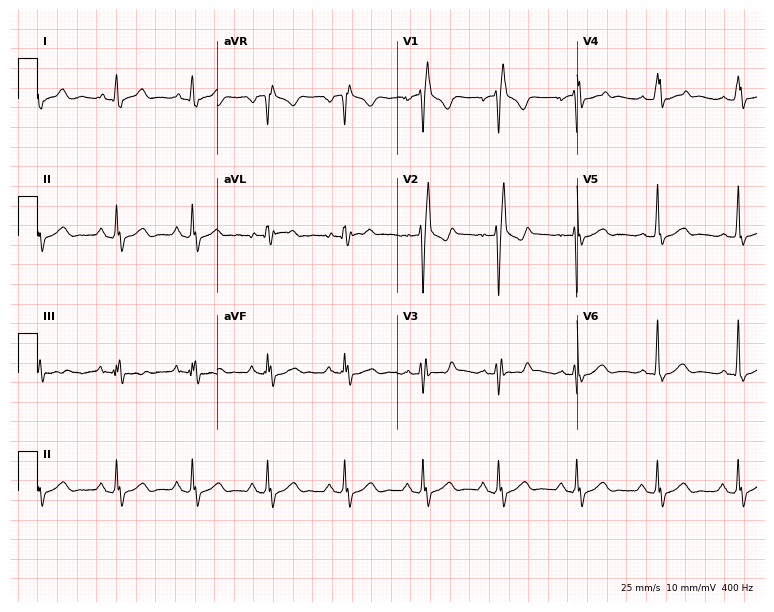
Electrocardiogram (7.3-second recording at 400 Hz), a 20-year-old man. Interpretation includes right bundle branch block (RBBB).